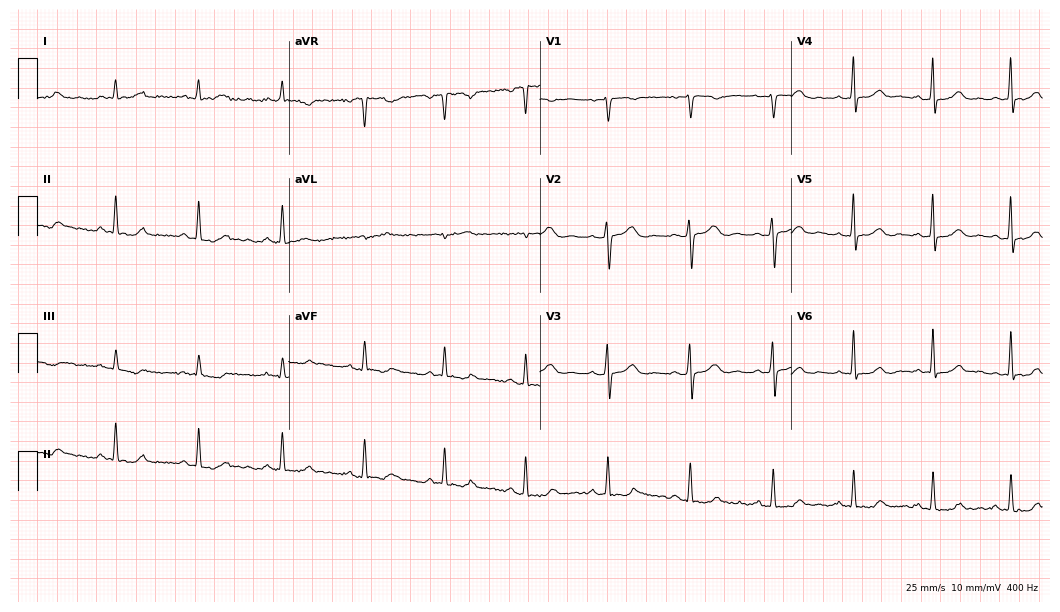
Standard 12-lead ECG recorded from a 63-year-old woman. Read as a normal ECG.